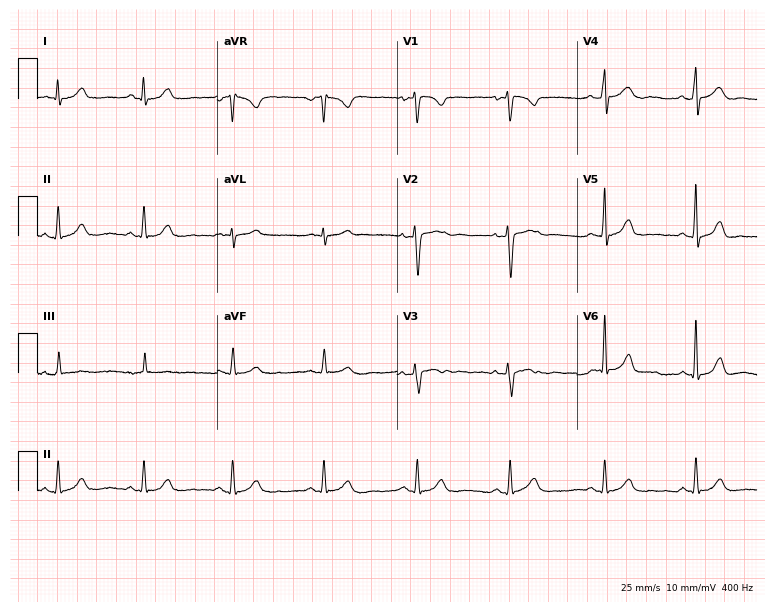
Resting 12-lead electrocardiogram. Patient: a 39-year-old female. Read as a normal ECG.